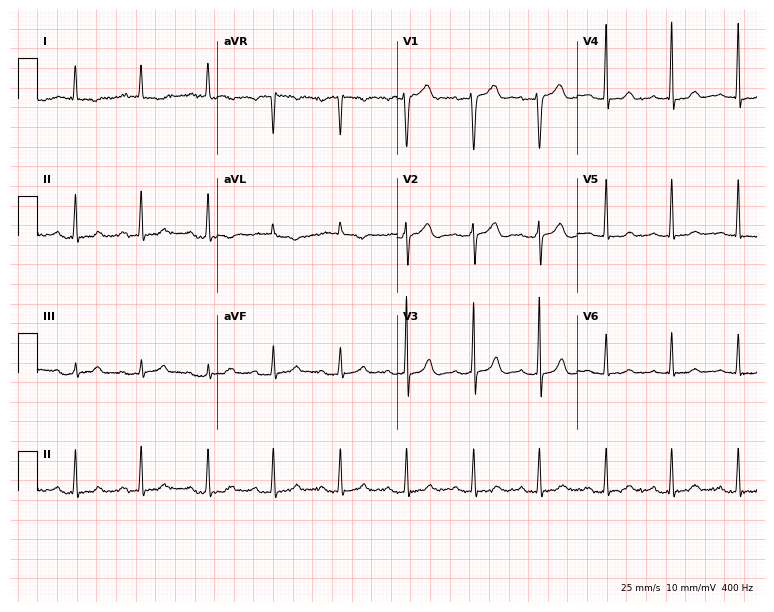
12-lead ECG (7.3-second recording at 400 Hz) from a female patient, 75 years old. Screened for six findings — first-degree AV block, right bundle branch block, left bundle branch block, sinus bradycardia, atrial fibrillation, sinus tachycardia — none is recorded.